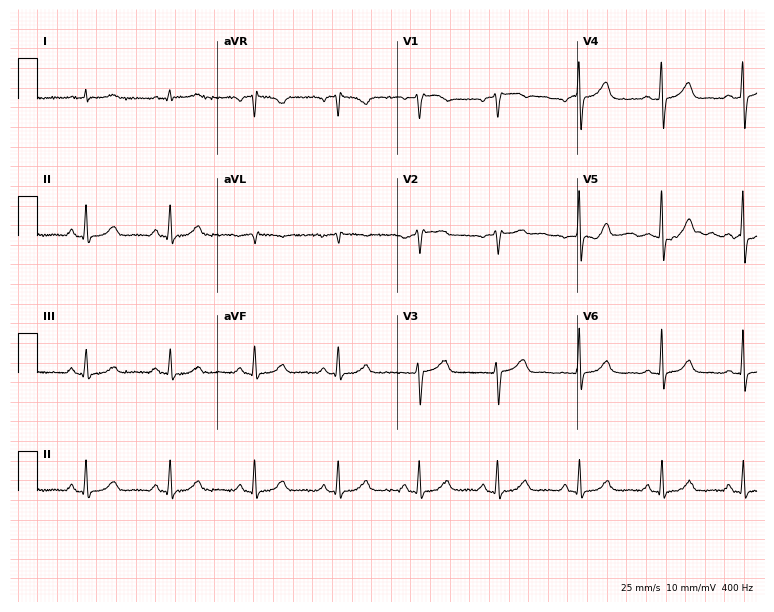
12-lead ECG (7.3-second recording at 400 Hz) from a 58-year-old female patient. Labelled as a normal ECG.